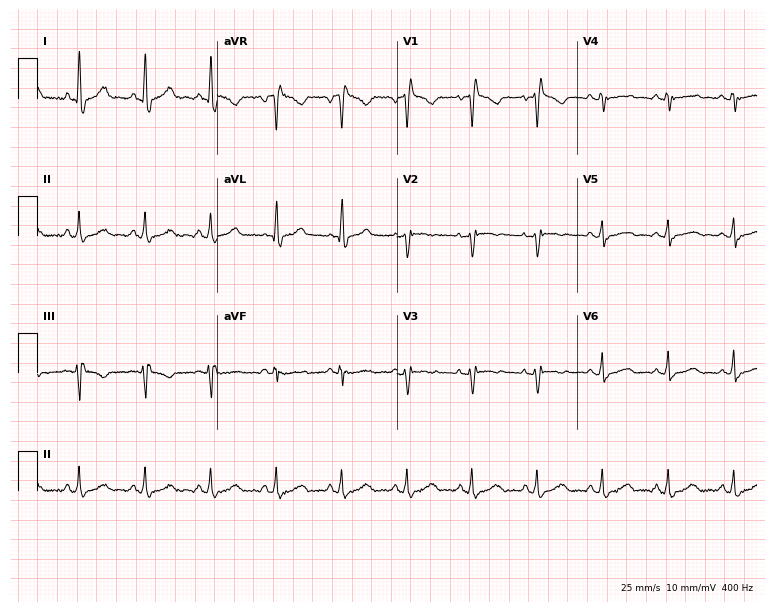
12-lead ECG from a 41-year-old female patient. No first-degree AV block, right bundle branch block, left bundle branch block, sinus bradycardia, atrial fibrillation or sinus tachycardia recorded for this tracing.